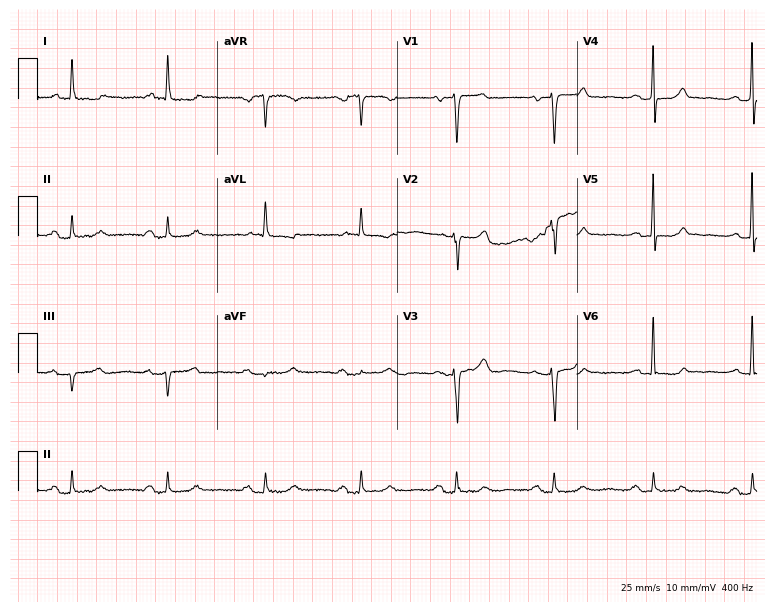
Electrocardiogram, a female patient, 67 years old. Of the six screened findings (first-degree AV block, right bundle branch block (RBBB), left bundle branch block (LBBB), sinus bradycardia, atrial fibrillation (AF), sinus tachycardia), none is recorded. Other findings, if any, are not listed.